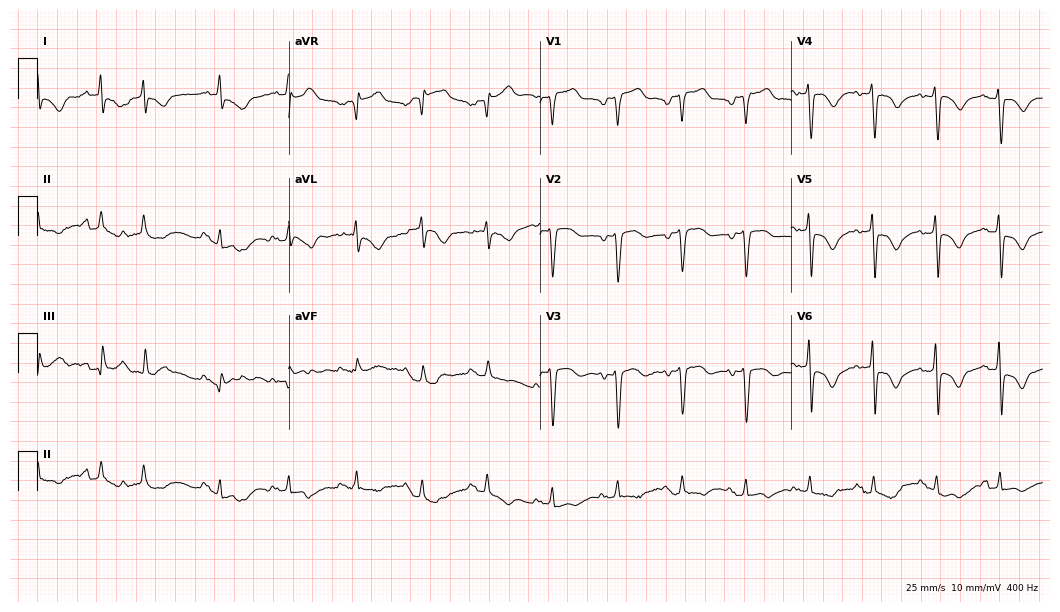
Standard 12-lead ECG recorded from a 65-year-old woman. None of these six findings is recorded: first-degree AV block, right bundle branch block, left bundle branch block, sinus bradycardia, atrial fibrillation, sinus tachycardia. Only these six findings were labelled.